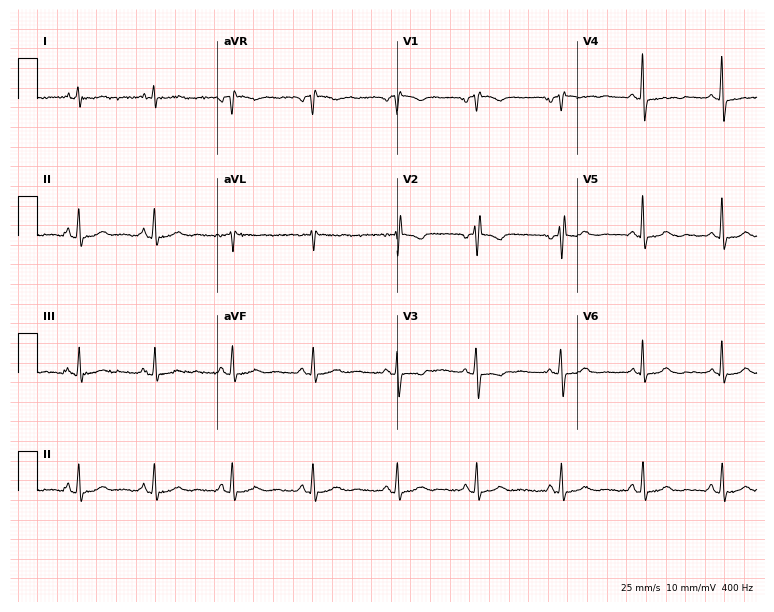
12-lead ECG from a female patient, 40 years old. Recorded interpretation: within normal limits.